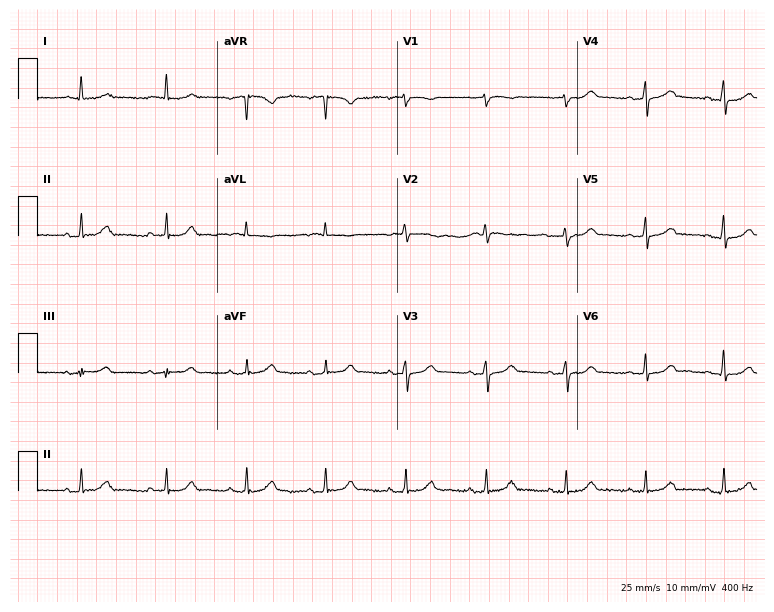
12-lead ECG from a female patient, 81 years old. No first-degree AV block, right bundle branch block (RBBB), left bundle branch block (LBBB), sinus bradycardia, atrial fibrillation (AF) or sinus tachycardia recorded for this tracing. Only these six findings were labelled.